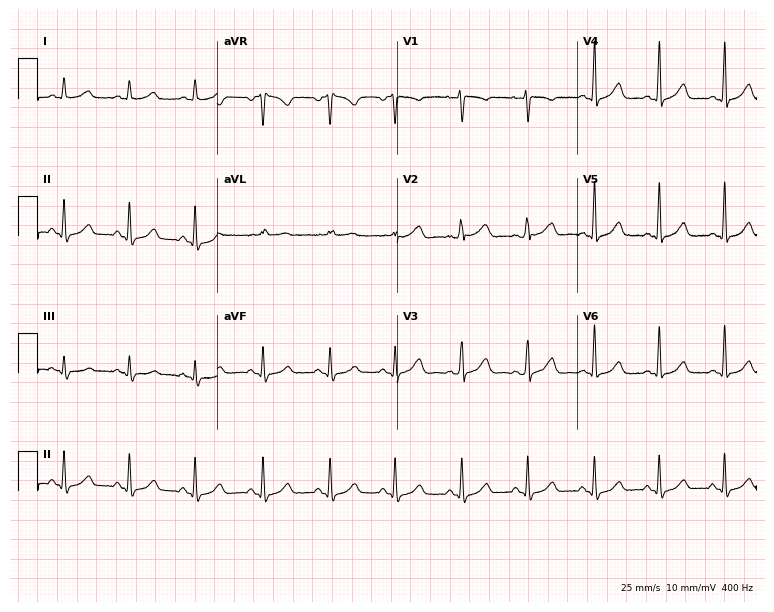
ECG — a 49-year-old female patient. Labelled as a normal ECG.